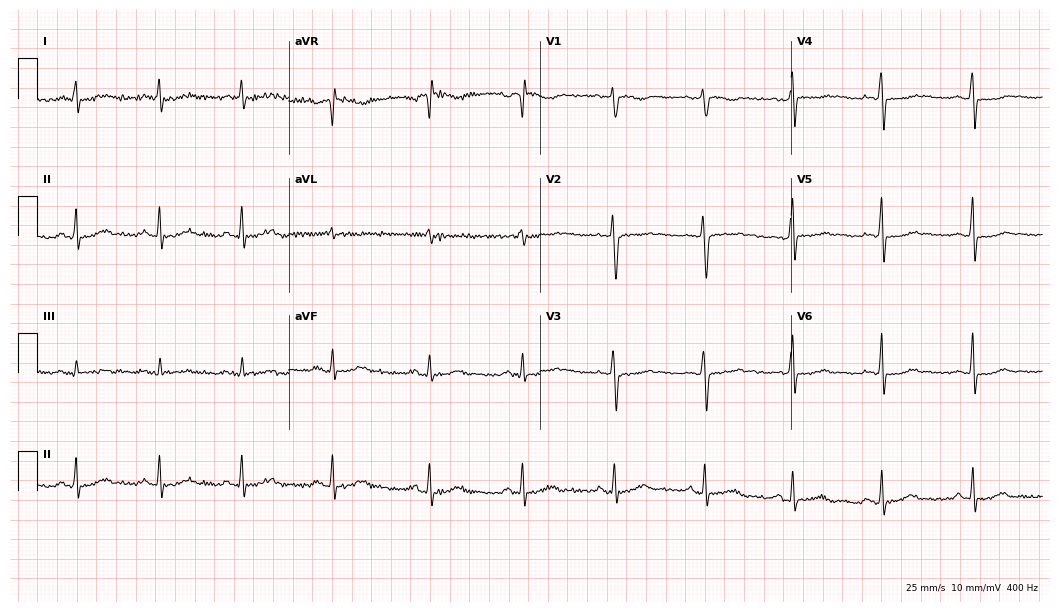
Electrocardiogram, a female patient, 43 years old. Overall reading on record: normal ECG.